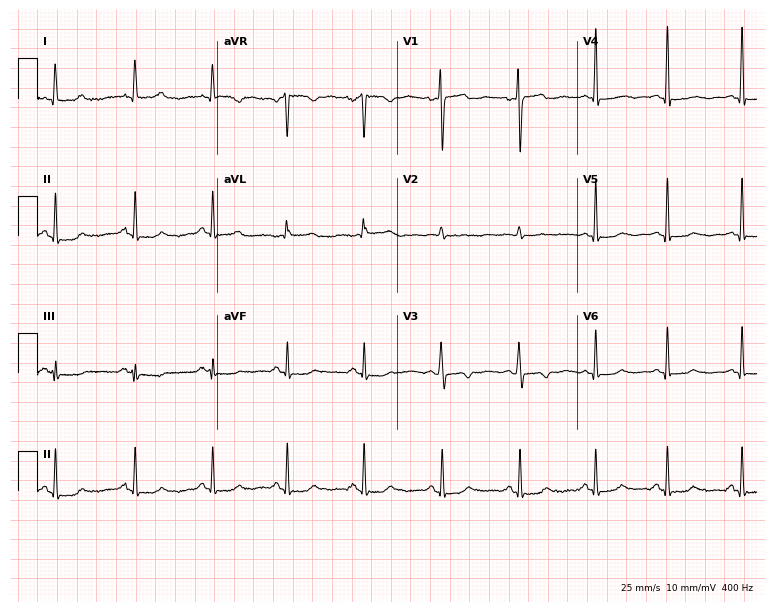
Standard 12-lead ECG recorded from a 26-year-old female. None of these six findings is recorded: first-degree AV block, right bundle branch block, left bundle branch block, sinus bradycardia, atrial fibrillation, sinus tachycardia. Only these six findings were labelled.